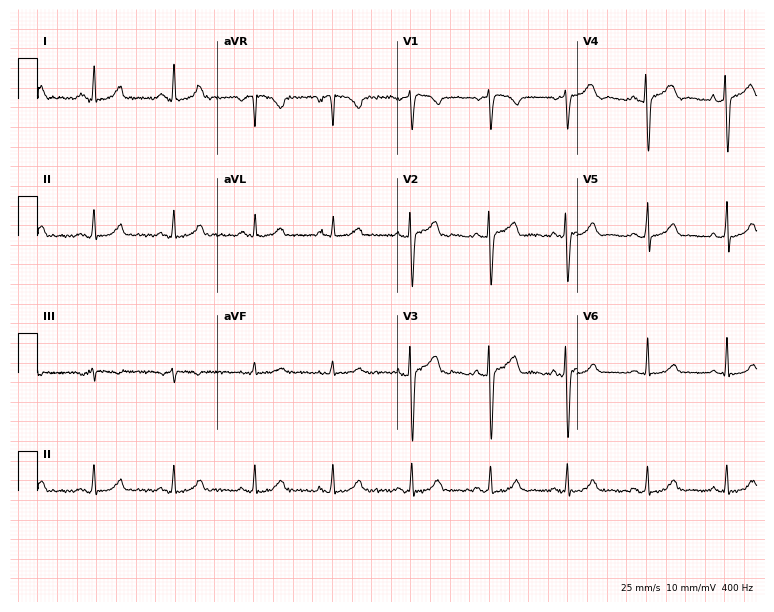
12-lead ECG from a female, 26 years old (7.3-second recording at 400 Hz). Recorded interpretation: within normal limits.